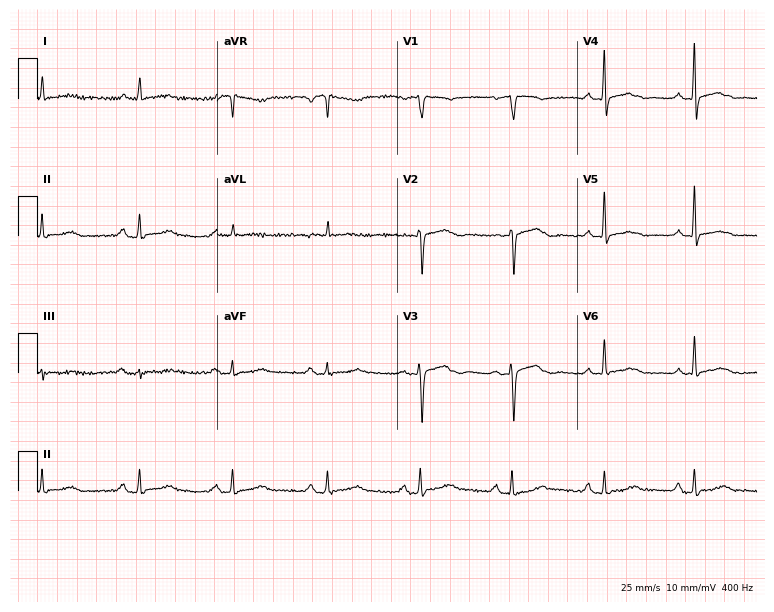
12-lead ECG from a female, 73 years old. Labelled as a normal ECG.